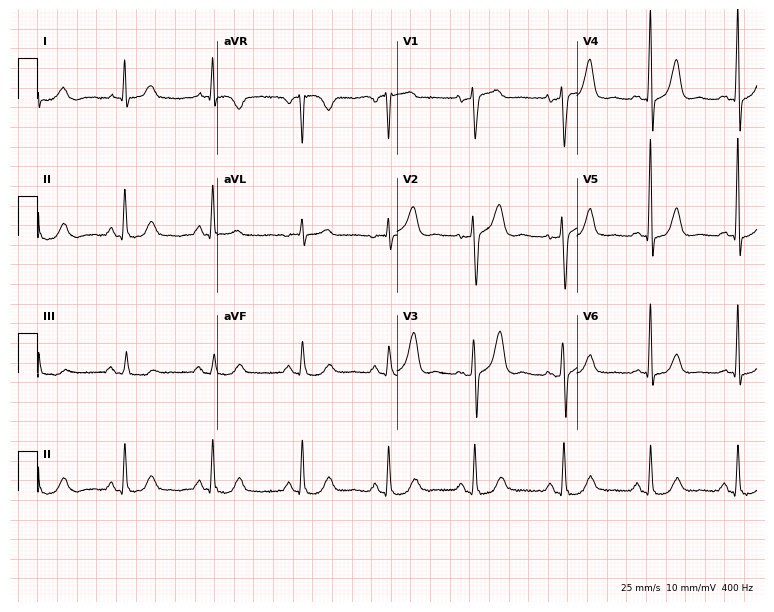
Electrocardiogram, a female patient, 66 years old. Overall reading on record: normal ECG.